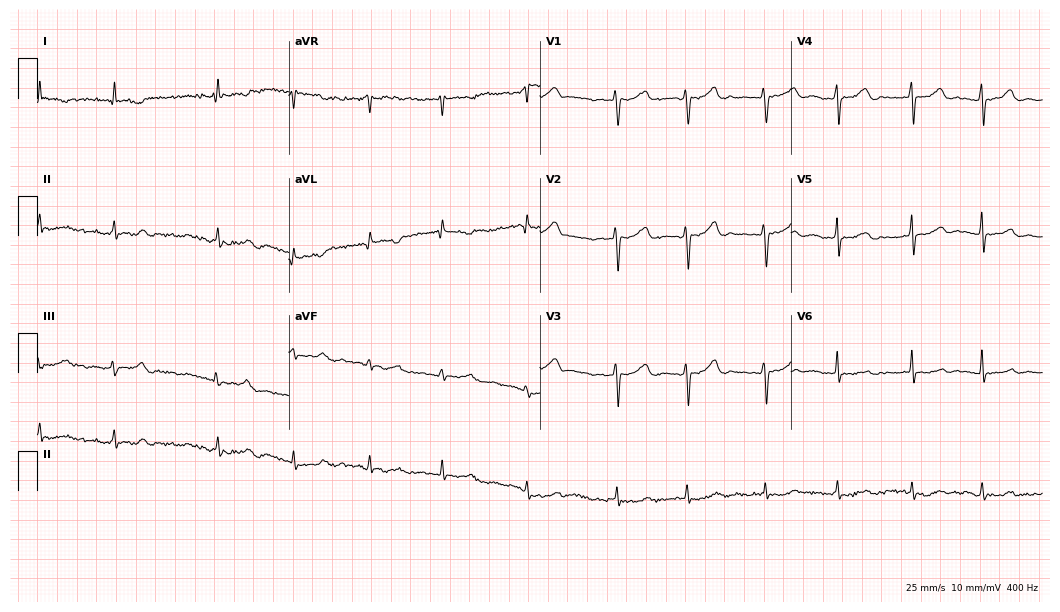
12-lead ECG from a 77-year-old female (10.2-second recording at 400 Hz). Shows atrial fibrillation.